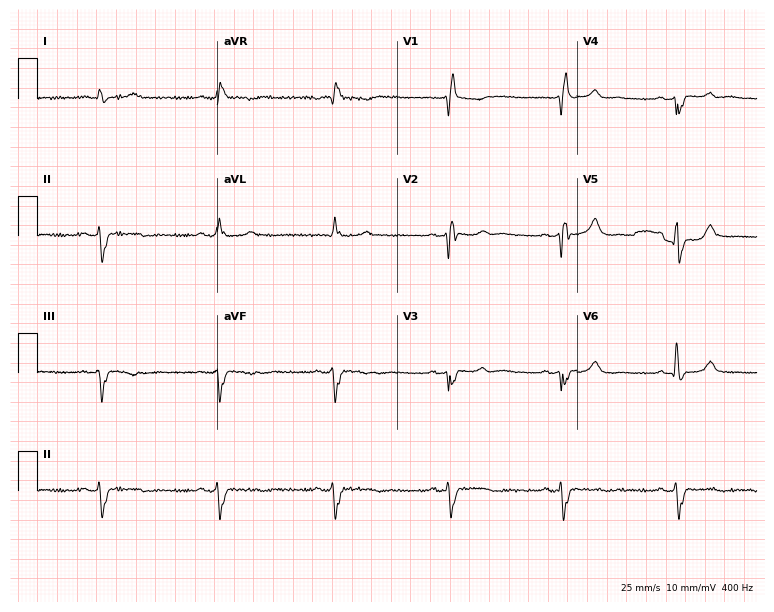
Standard 12-lead ECG recorded from a man, 77 years old (7.3-second recording at 400 Hz). The tracing shows right bundle branch block.